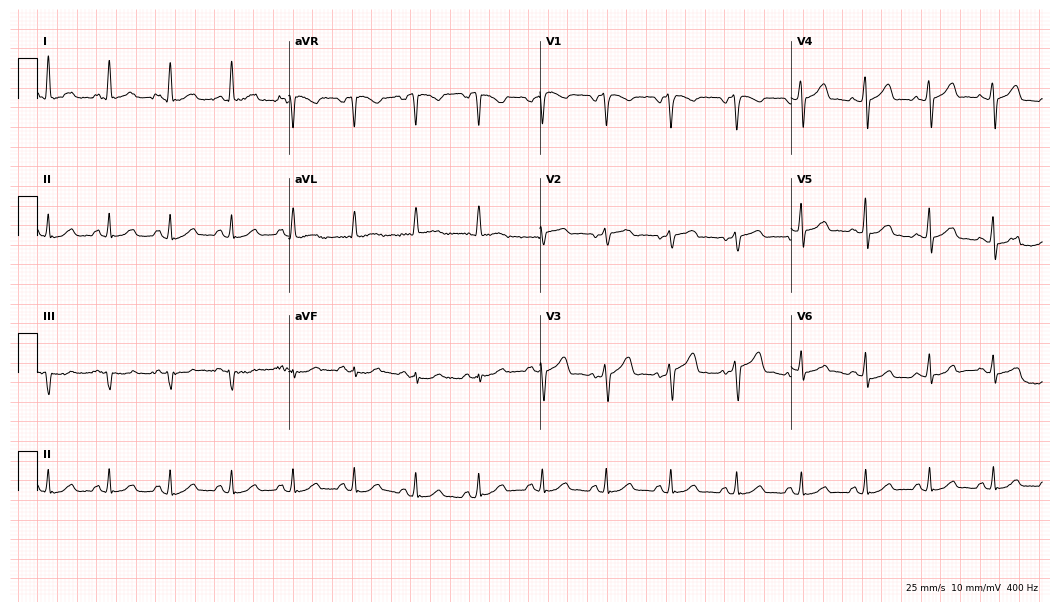
Electrocardiogram, a 48-year-old woman. Overall reading on record: normal ECG.